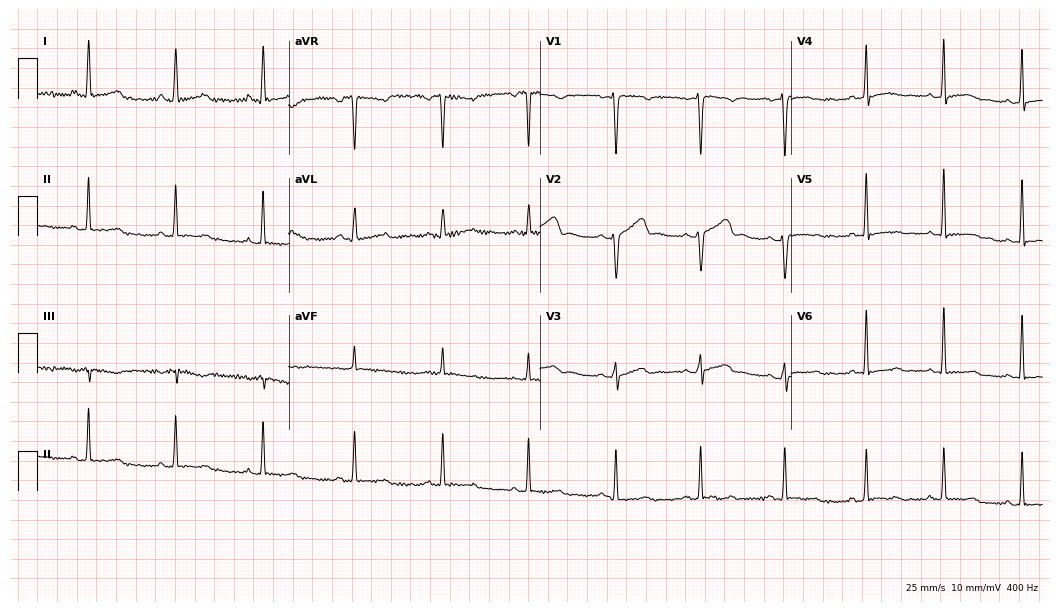
12-lead ECG from a 37-year-old female. No first-degree AV block, right bundle branch block, left bundle branch block, sinus bradycardia, atrial fibrillation or sinus tachycardia recorded for this tracing. Other findings, if any, are not listed.